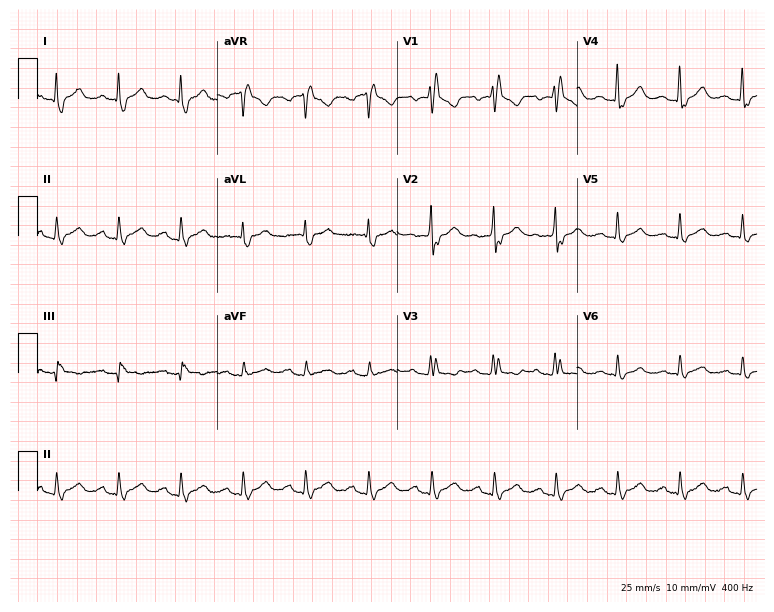
ECG (7.3-second recording at 400 Hz) — a 38-year-old woman. Findings include right bundle branch block.